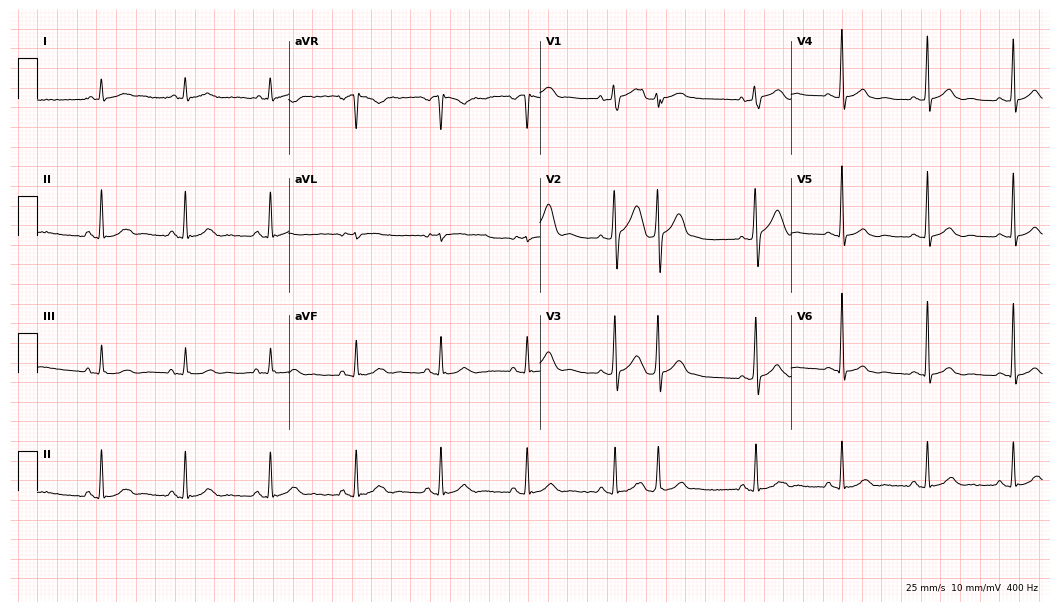
Standard 12-lead ECG recorded from an 83-year-old male patient. None of these six findings is recorded: first-degree AV block, right bundle branch block, left bundle branch block, sinus bradycardia, atrial fibrillation, sinus tachycardia.